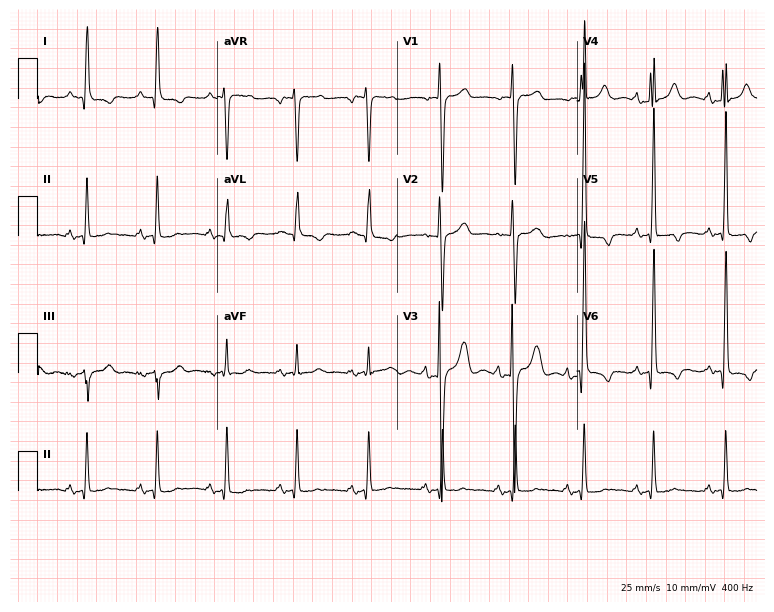
Electrocardiogram, a male, 64 years old. Of the six screened findings (first-degree AV block, right bundle branch block (RBBB), left bundle branch block (LBBB), sinus bradycardia, atrial fibrillation (AF), sinus tachycardia), none is recorded.